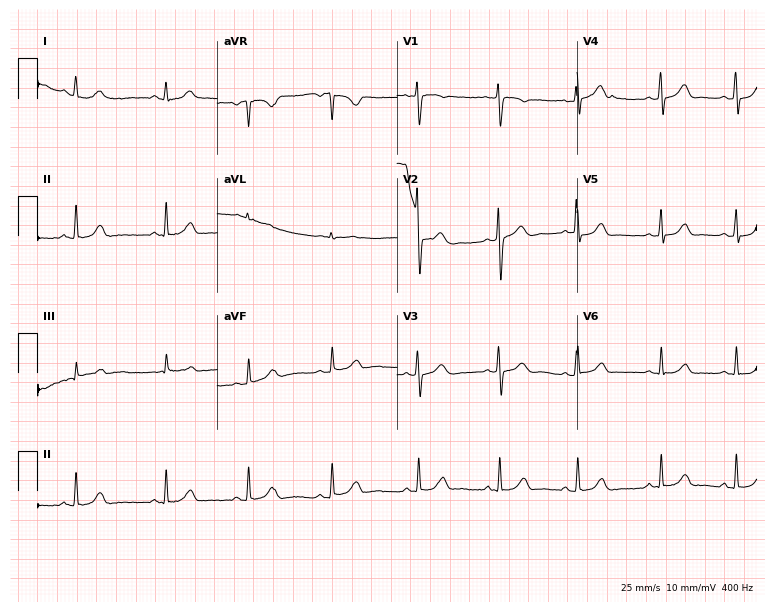
Standard 12-lead ECG recorded from a female patient, 17 years old. None of these six findings is recorded: first-degree AV block, right bundle branch block, left bundle branch block, sinus bradycardia, atrial fibrillation, sinus tachycardia.